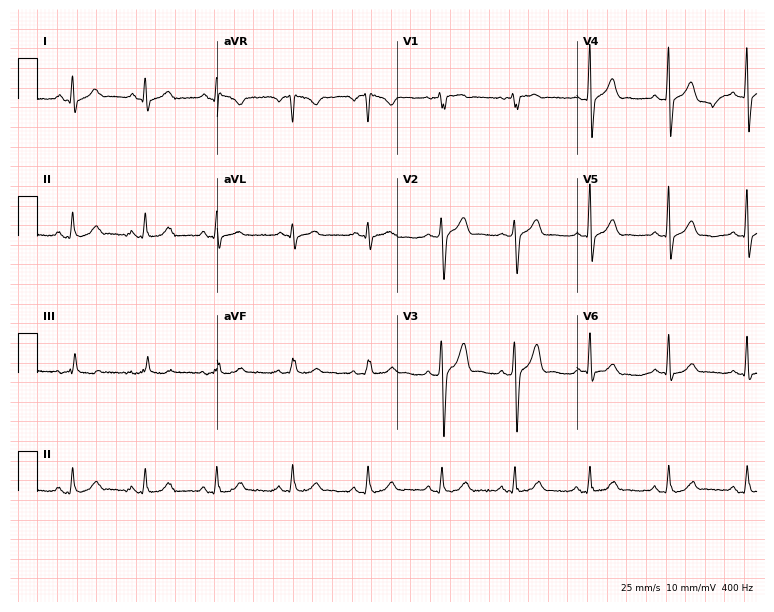
ECG — a 31-year-old male. Screened for six findings — first-degree AV block, right bundle branch block, left bundle branch block, sinus bradycardia, atrial fibrillation, sinus tachycardia — none is recorded. Only these six findings were labelled.